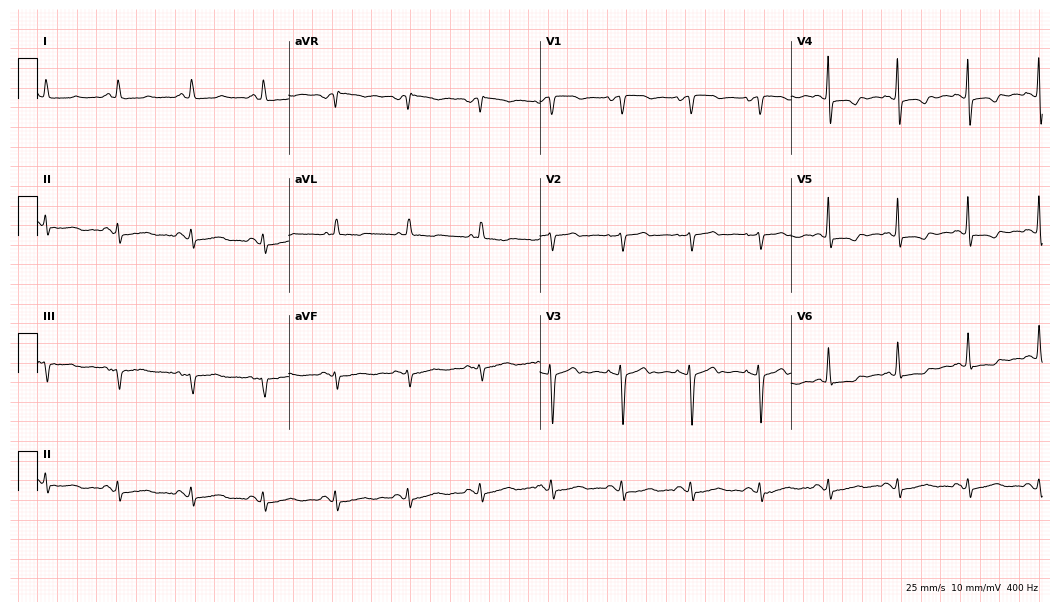
Resting 12-lead electrocardiogram (10.2-second recording at 400 Hz). Patient: a 63-year-old woman. None of these six findings is recorded: first-degree AV block, right bundle branch block, left bundle branch block, sinus bradycardia, atrial fibrillation, sinus tachycardia. Only these six findings were labelled.